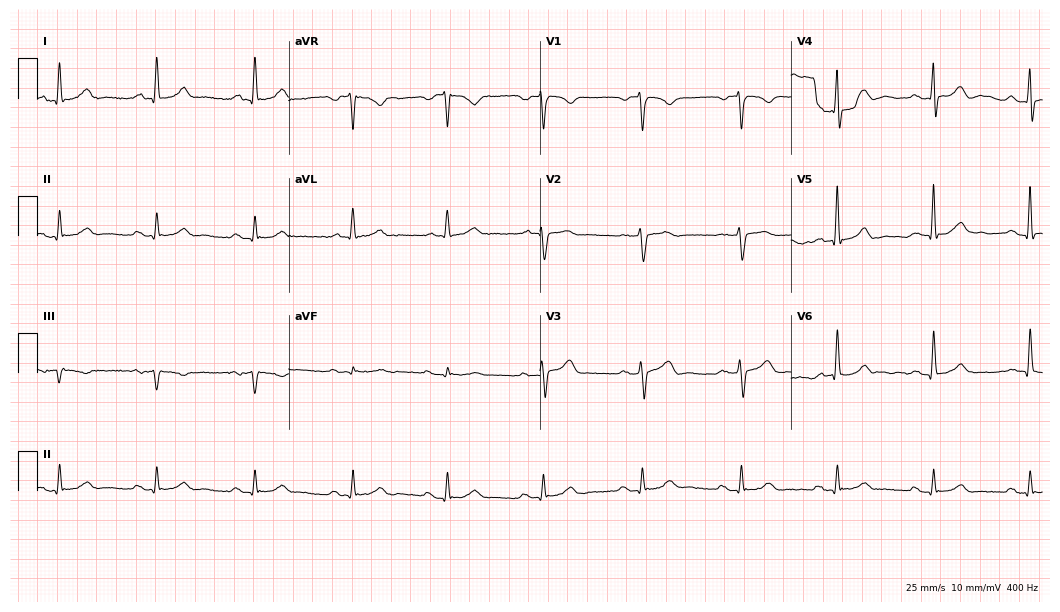
12-lead ECG (10.2-second recording at 400 Hz) from an 83-year-old man. Labelled as a normal ECG.